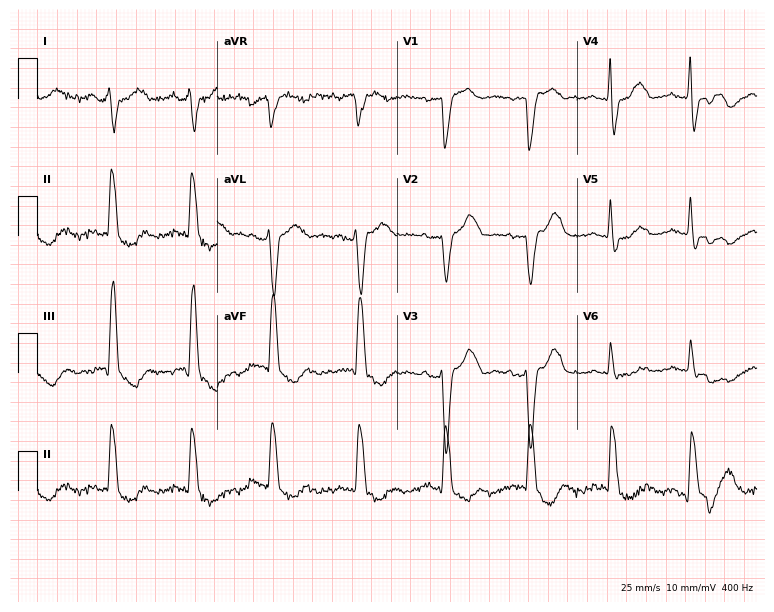
ECG (7.3-second recording at 400 Hz) — a female, 84 years old. Screened for six findings — first-degree AV block, right bundle branch block, left bundle branch block, sinus bradycardia, atrial fibrillation, sinus tachycardia — none is recorded.